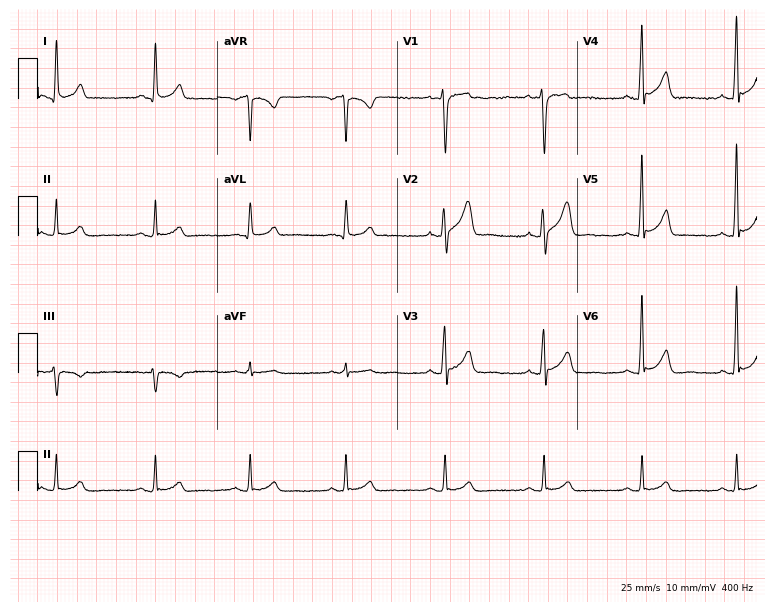
Resting 12-lead electrocardiogram (7.3-second recording at 400 Hz). Patient: a 41-year-old male. Read as a normal ECG.